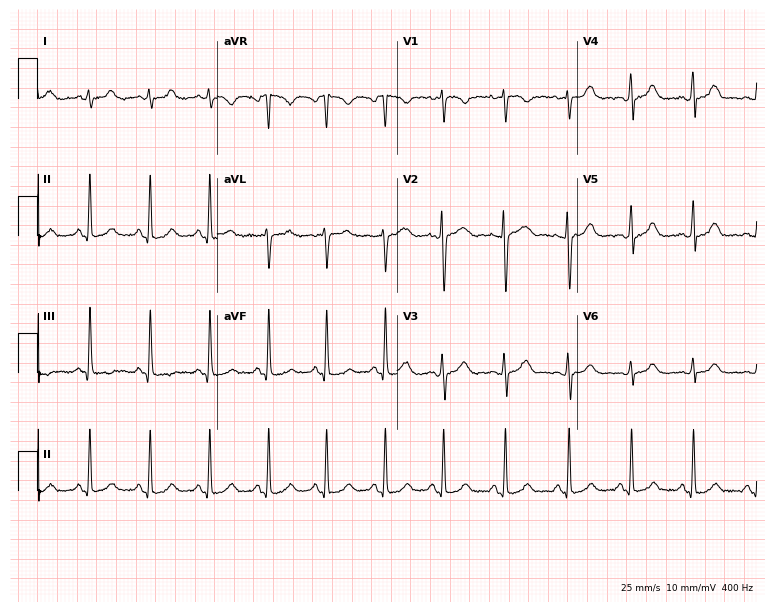
Resting 12-lead electrocardiogram. Patient: a 23-year-old female. None of these six findings is recorded: first-degree AV block, right bundle branch block, left bundle branch block, sinus bradycardia, atrial fibrillation, sinus tachycardia.